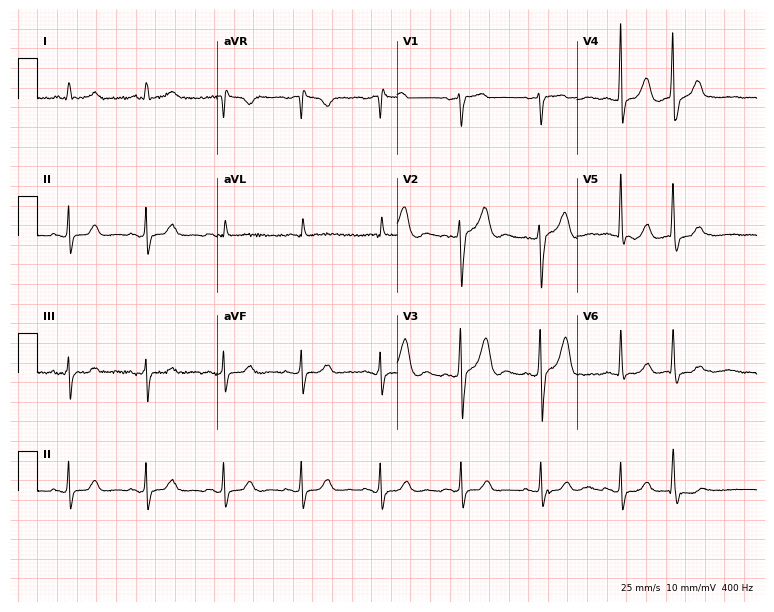
Resting 12-lead electrocardiogram. Patient: a 73-year-old man. Read as a normal ECG.